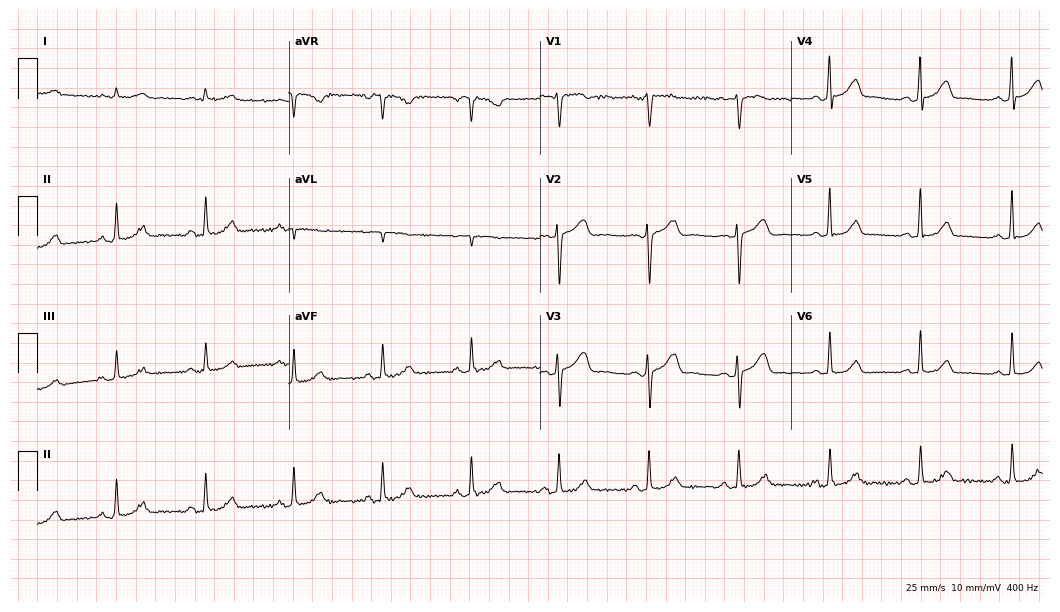
Standard 12-lead ECG recorded from a 47-year-old female (10.2-second recording at 400 Hz). Read as a normal ECG.